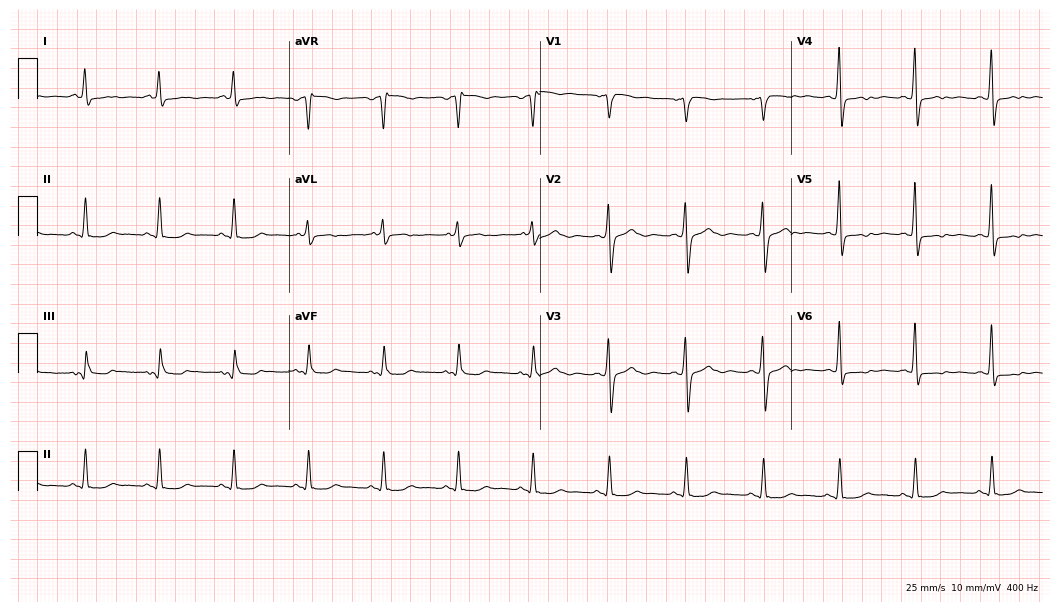
12-lead ECG from a female patient, 54 years old (10.2-second recording at 400 Hz). No first-degree AV block, right bundle branch block (RBBB), left bundle branch block (LBBB), sinus bradycardia, atrial fibrillation (AF) or sinus tachycardia recorded for this tracing.